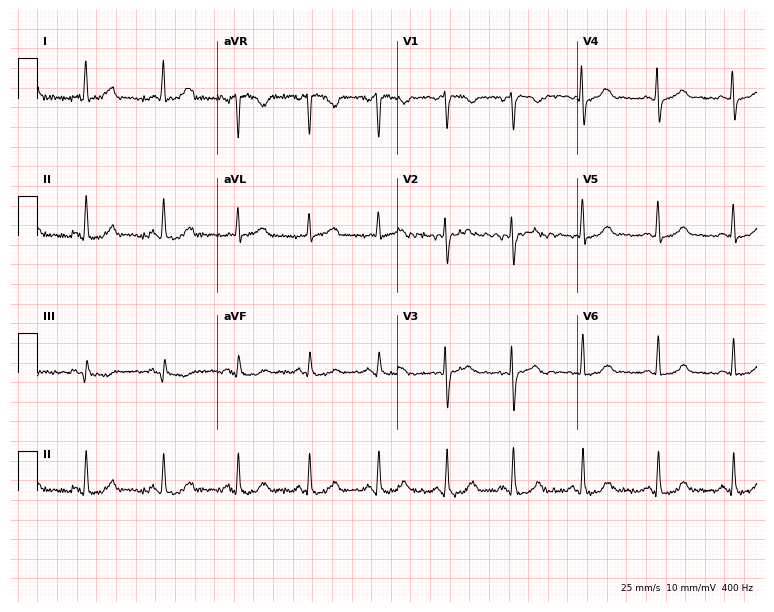
ECG — a 40-year-old female. Screened for six findings — first-degree AV block, right bundle branch block (RBBB), left bundle branch block (LBBB), sinus bradycardia, atrial fibrillation (AF), sinus tachycardia — none is recorded.